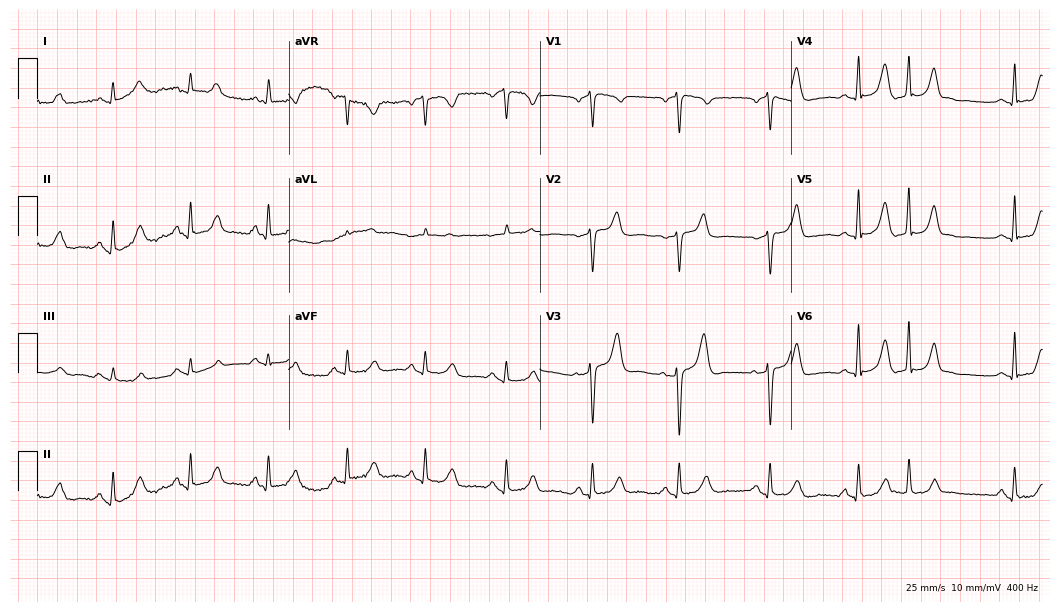
ECG — a 65-year-old female patient. Screened for six findings — first-degree AV block, right bundle branch block (RBBB), left bundle branch block (LBBB), sinus bradycardia, atrial fibrillation (AF), sinus tachycardia — none is recorded.